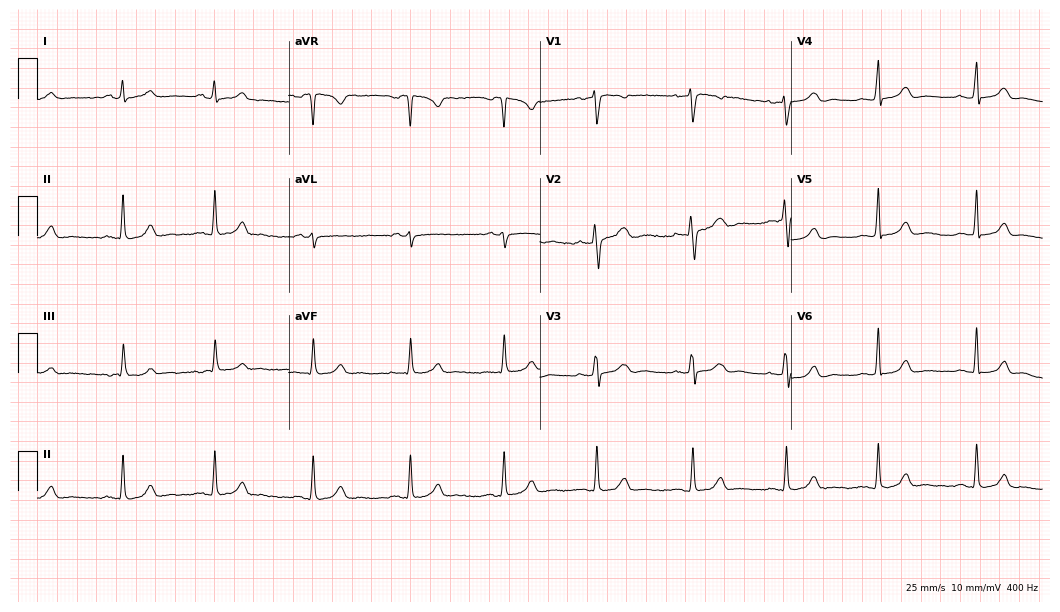
12-lead ECG from a woman, 22 years old (10.2-second recording at 400 Hz). Recorded interpretation: within normal limits.